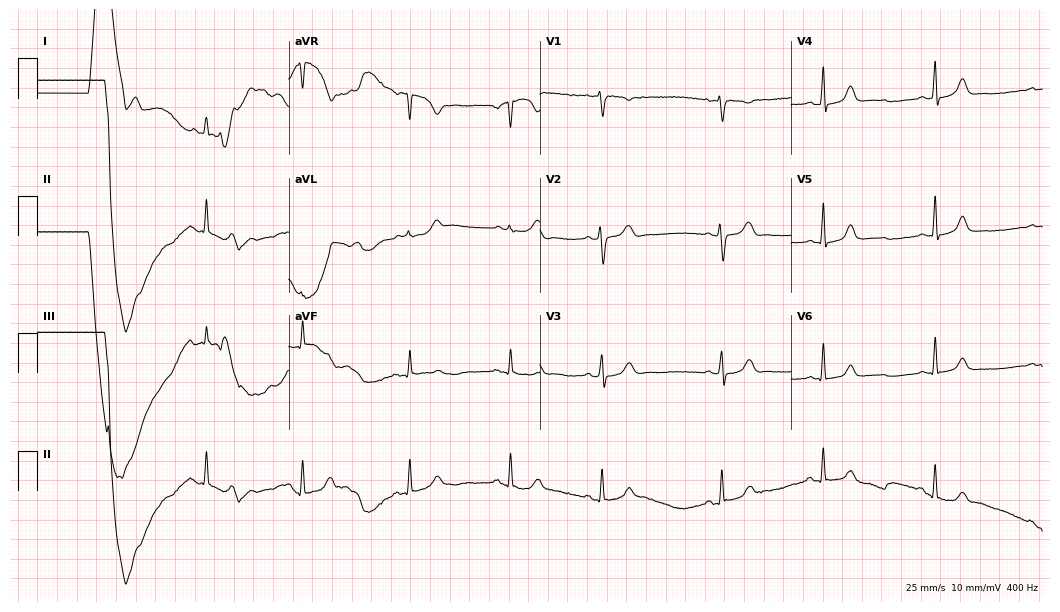
Electrocardiogram, a female patient, 29 years old. Overall reading on record: normal ECG.